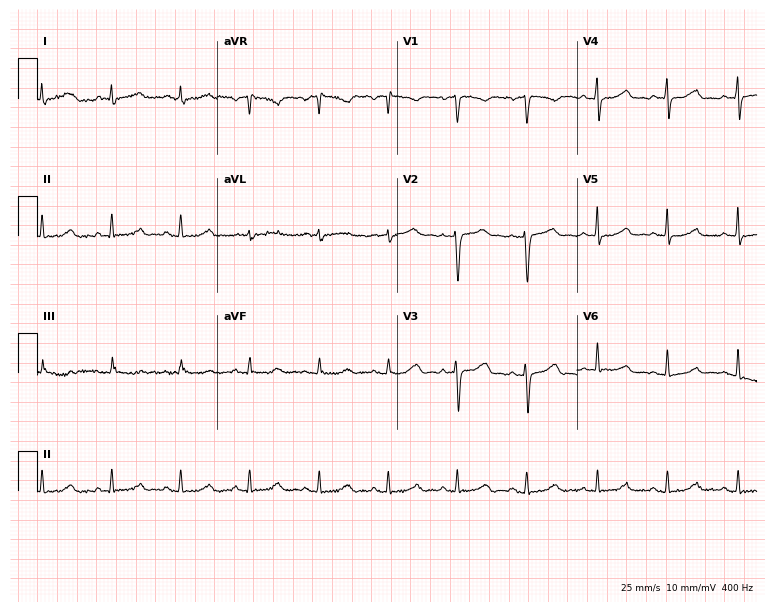
12-lead ECG from a woman, 58 years old. Screened for six findings — first-degree AV block, right bundle branch block, left bundle branch block, sinus bradycardia, atrial fibrillation, sinus tachycardia — none is recorded. Other findings, if any, are not listed.